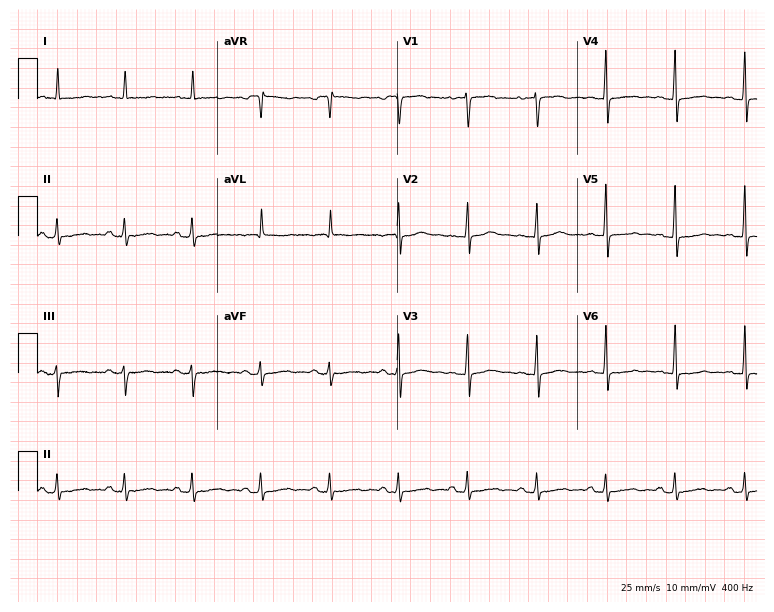
12-lead ECG from a 65-year-old female. No first-degree AV block, right bundle branch block, left bundle branch block, sinus bradycardia, atrial fibrillation or sinus tachycardia recorded for this tracing.